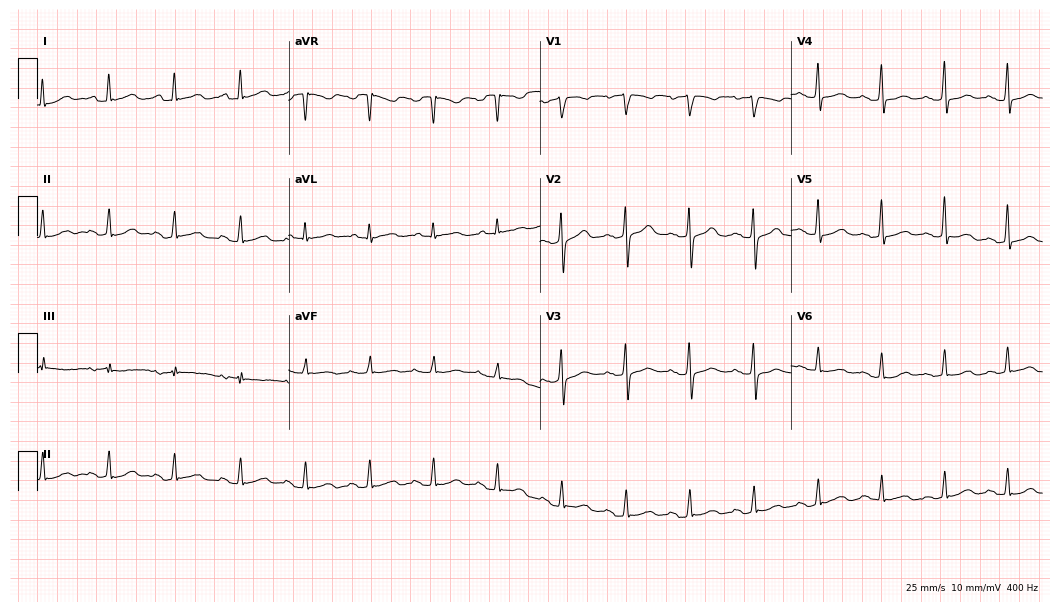
ECG — a woman, 45 years old. Labelled as a normal ECG.